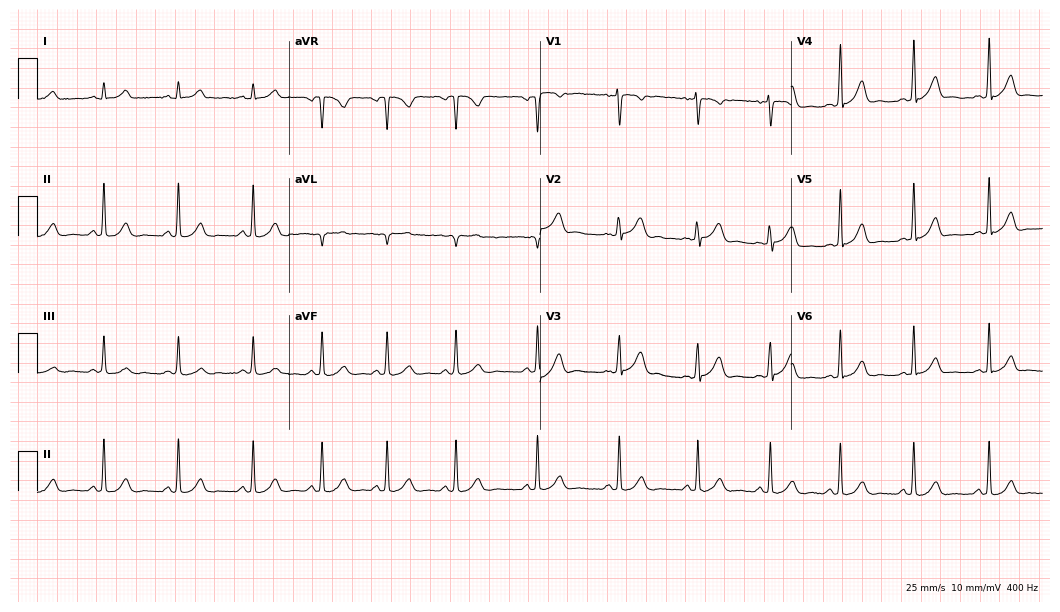
12-lead ECG (10.2-second recording at 400 Hz) from a 26-year-old woman. Labelled as a normal ECG.